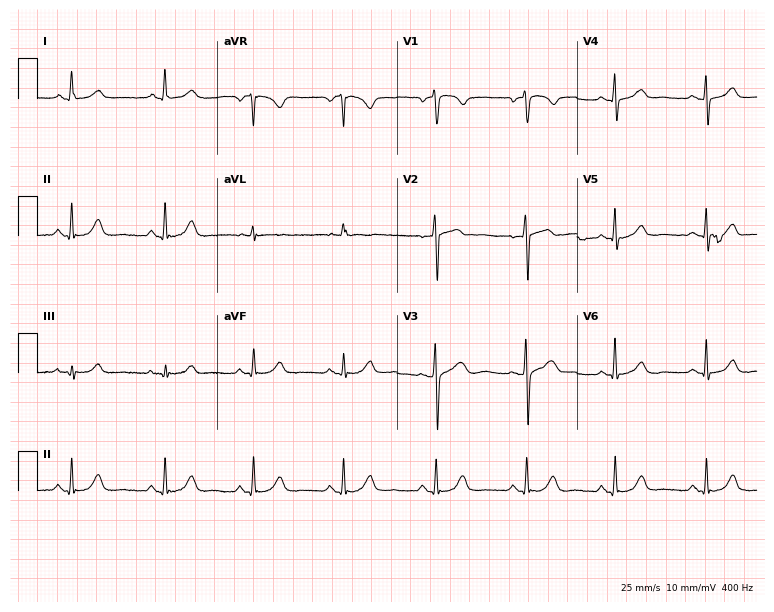
Resting 12-lead electrocardiogram (7.3-second recording at 400 Hz). Patient: a woman, 67 years old. Read as a normal ECG.